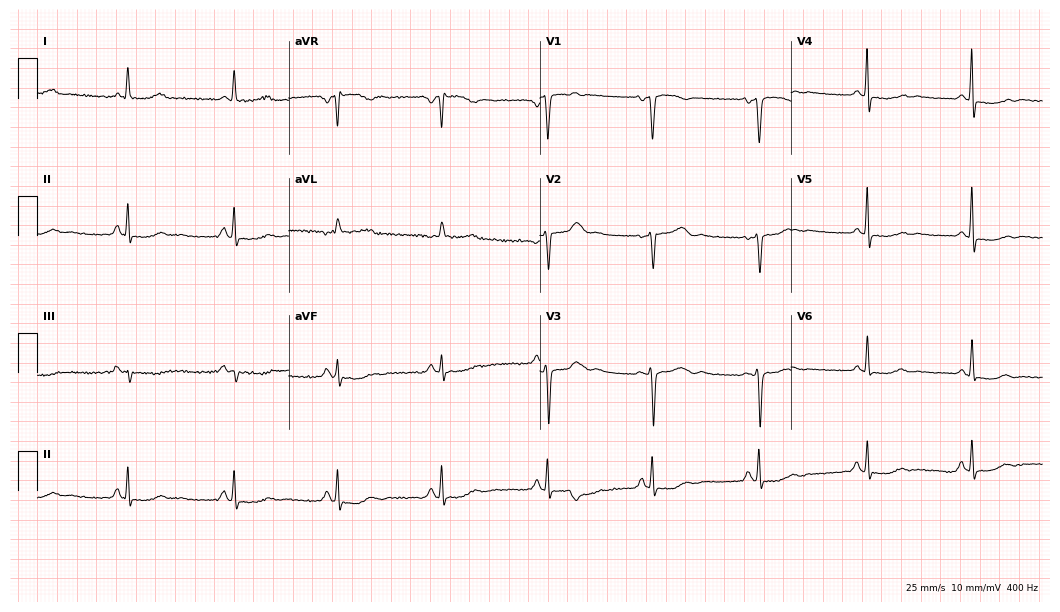
Electrocardiogram, a 60-year-old woman. Of the six screened findings (first-degree AV block, right bundle branch block (RBBB), left bundle branch block (LBBB), sinus bradycardia, atrial fibrillation (AF), sinus tachycardia), none is recorded. Only these six findings were labelled.